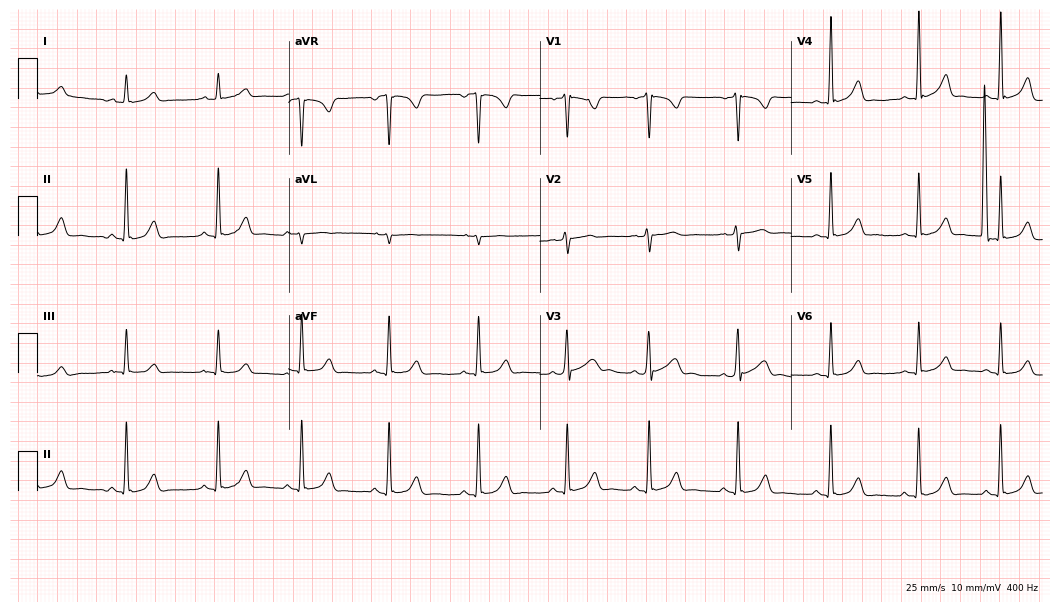
Standard 12-lead ECG recorded from a female patient, 23 years old (10.2-second recording at 400 Hz). Read as a normal ECG.